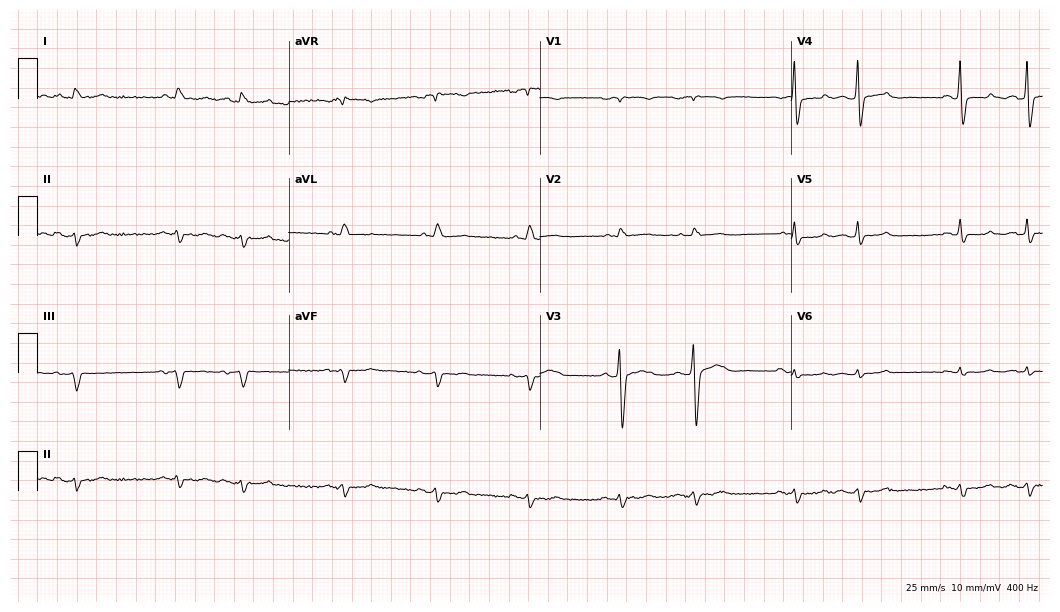
12-lead ECG (10.2-second recording at 400 Hz) from a male, 71 years old. Screened for six findings — first-degree AV block, right bundle branch block, left bundle branch block, sinus bradycardia, atrial fibrillation, sinus tachycardia — none is recorded. Findings outside these six are not listed.